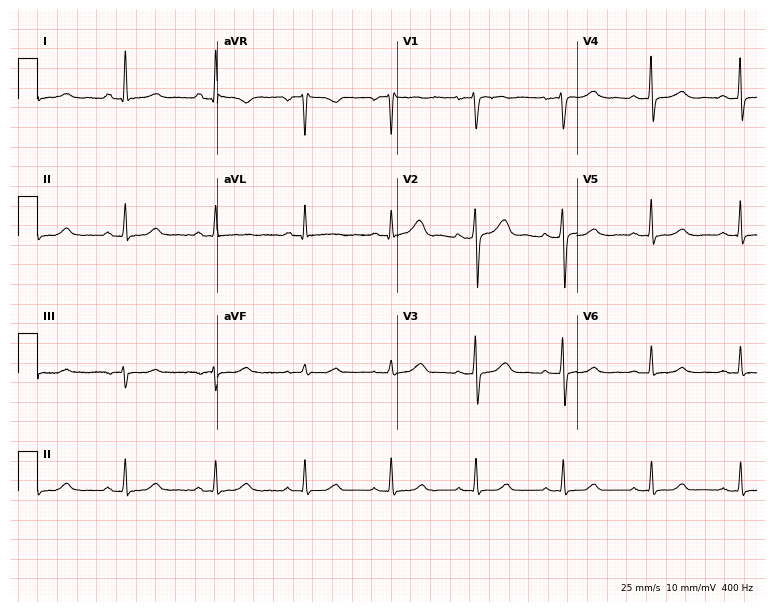
Electrocardiogram (7.3-second recording at 400 Hz), a female patient, 46 years old. Overall reading on record: normal ECG.